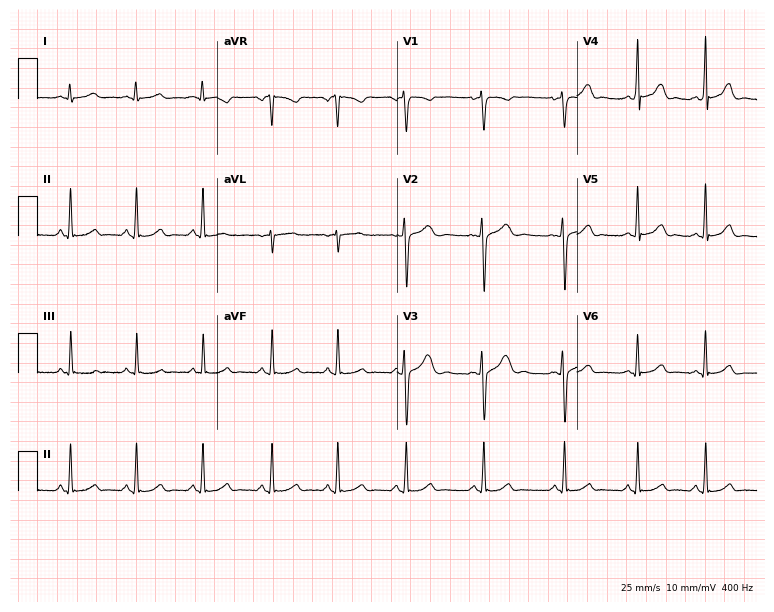
Electrocardiogram (7.3-second recording at 400 Hz), a female patient, 20 years old. Overall reading on record: normal ECG.